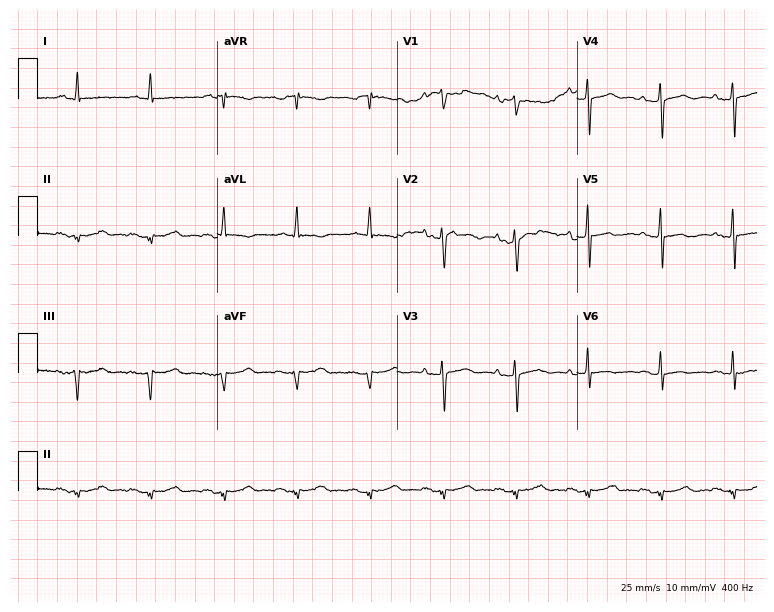
Electrocardiogram (7.3-second recording at 400 Hz), an 80-year-old male. Of the six screened findings (first-degree AV block, right bundle branch block, left bundle branch block, sinus bradycardia, atrial fibrillation, sinus tachycardia), none is recorded. Only these six findings were labelled.